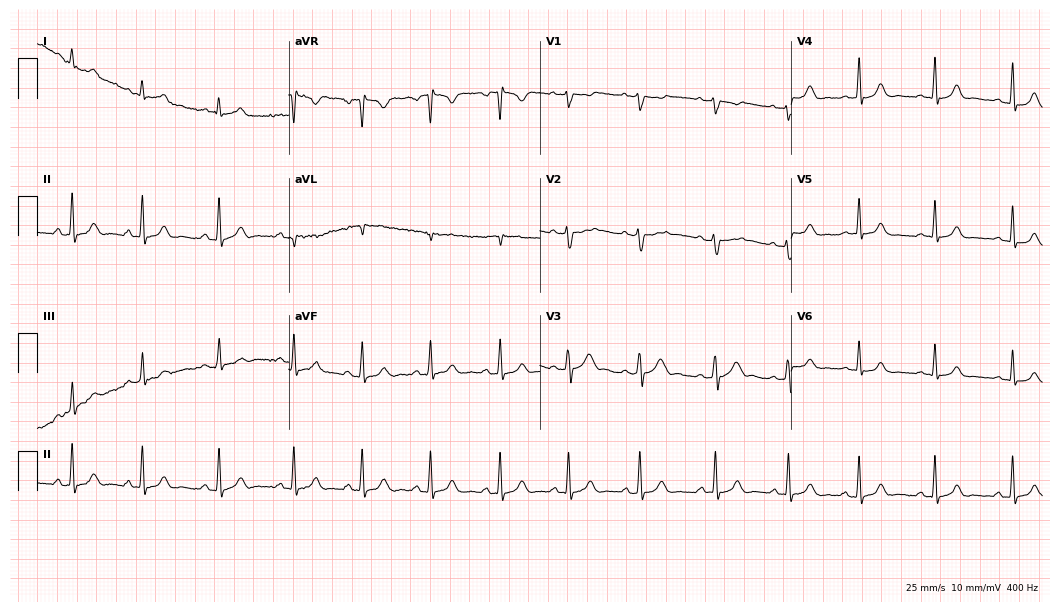
Resting 12-lead electrocardiogram (10.2-second recording at 400 Hz). Patient: a woman, 28 years old. None of these six findings is recorded: first-degree AV block, right bundle branch block (RBBB), left bundle branch block (LBBB), sinus bradycardia, atrial fibrillation (AF), sinus tachycardia. Only these six findings were labelled.